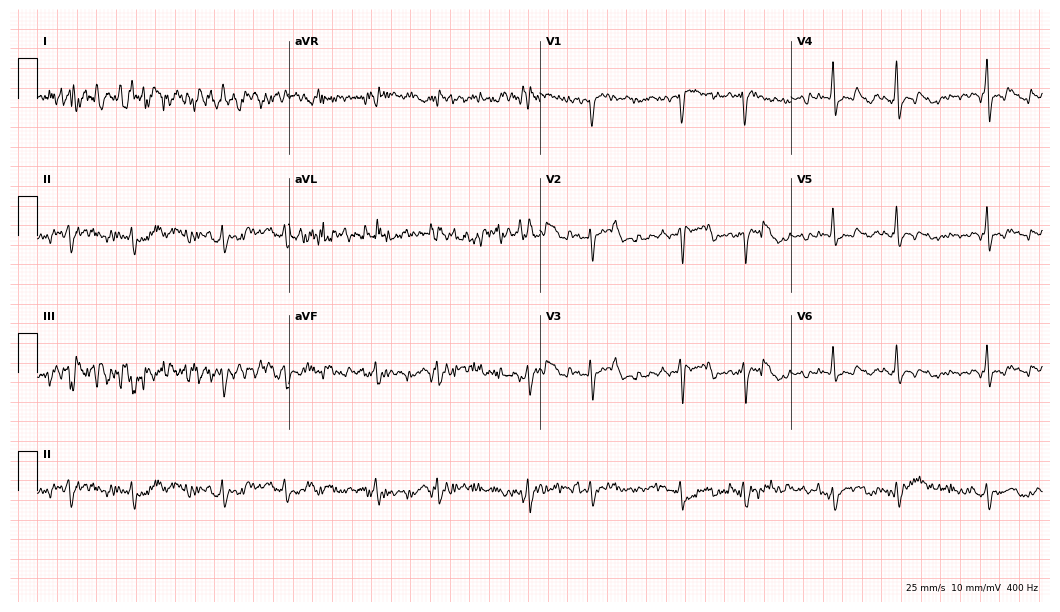
12-lead ECG (10.2-second recording at 400 Hz) from an 83-year-old man. Screened for six findings — first-degree AV block, right bundle branch block, left bundle branch block, sinus bradycardia, atrial fibrillation, sinus tachycardia — none is recorded. Only these six findings were labelled.